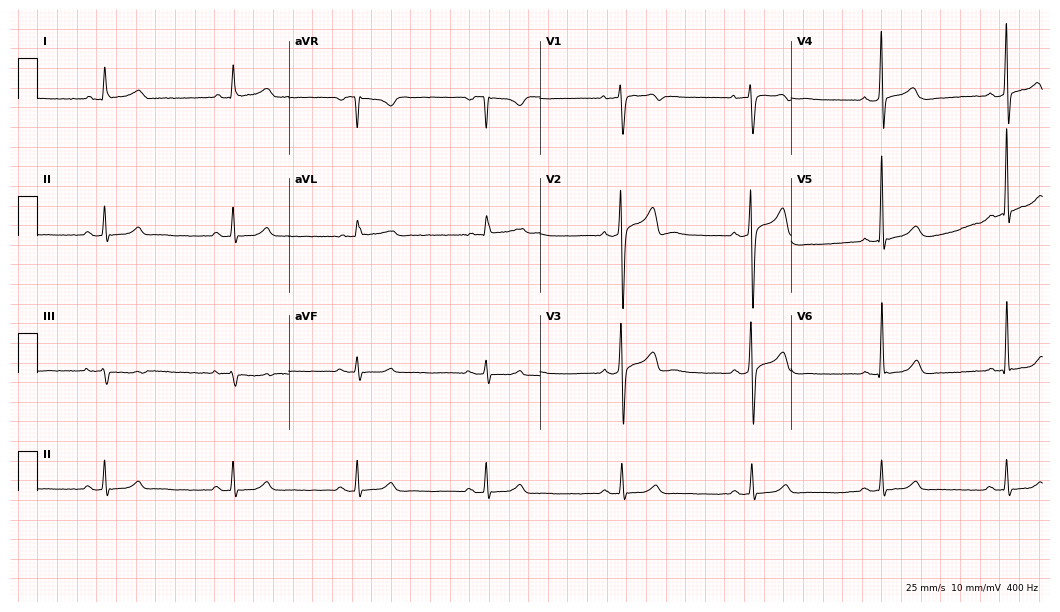
Standard 12-lead ECG recorded from a male patient, 35 years old (10.2-second recording at 400 Hz). Read as a normal ECG.